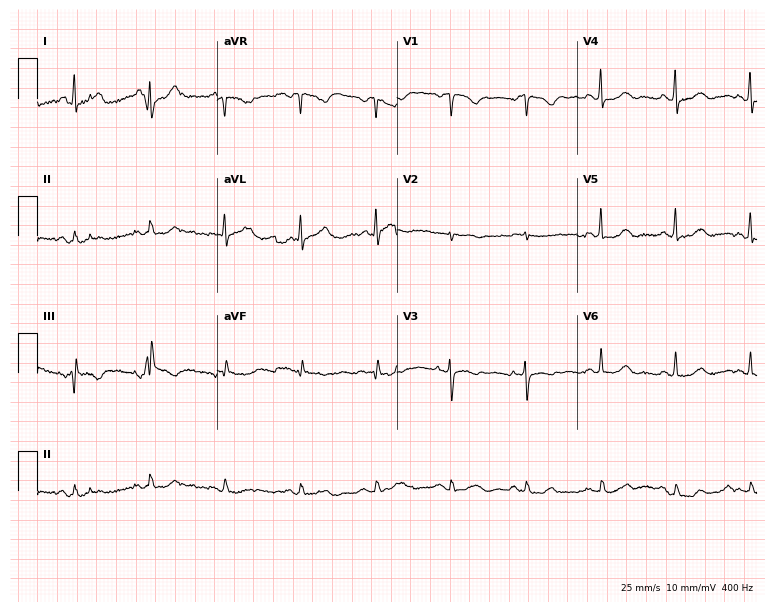
Electrocardiogram, a 59-year-old female. Of the six screened findings (first-degree AV block, right bundle branch block, left bundle branch block, sinus bradycardia, atrial fibrillation, sinus tachycardia), none is recorded. Findings outside these six are not listed.